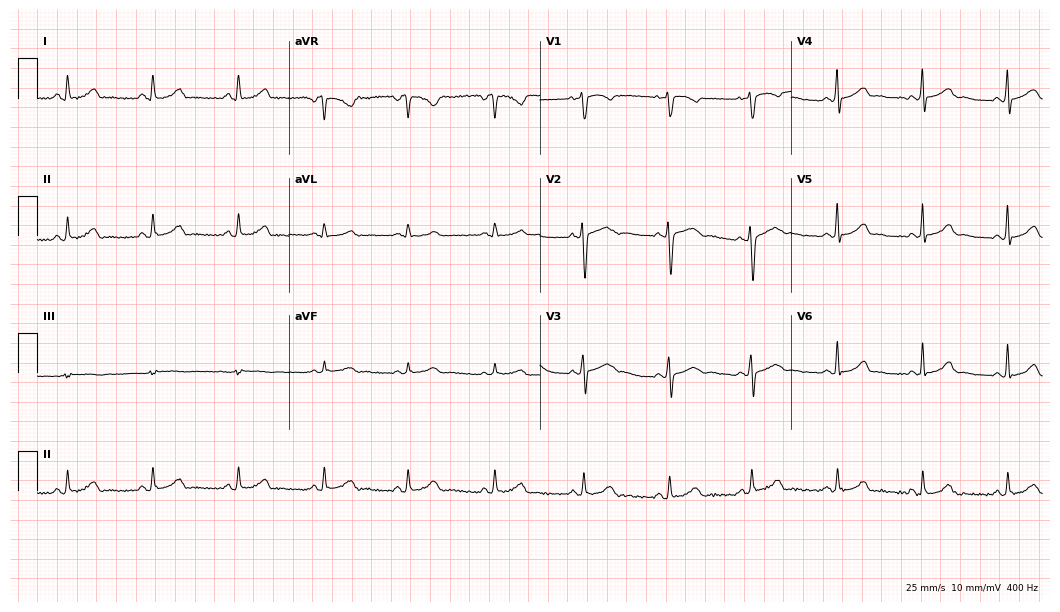
ECG — a 32-year-old female. Screened for six findings — first-degree AV block, right bundle branch block, left bundle branch block, sinus bradycardia, atrial fibrillation, sinus tachycardia — none is recorded. Only these six findings were labelled.